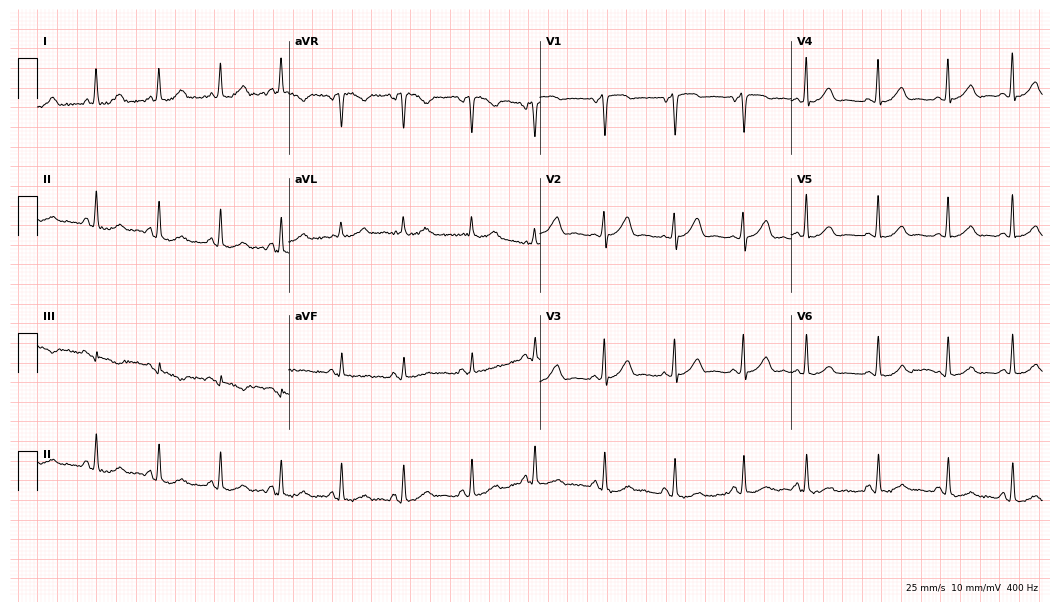
Electrocardiogram, a 48-year-old female. Overall reading on record: normal ECG.